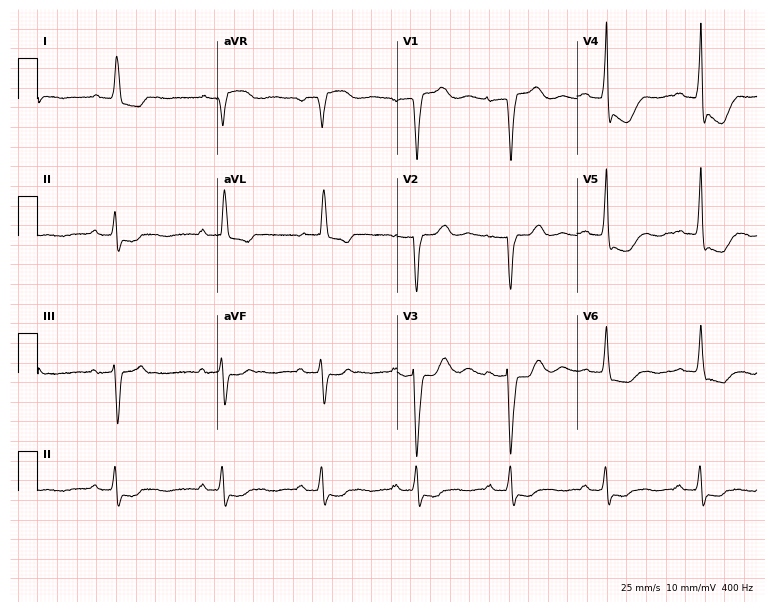
Standard 12-lead ECG recorded from a 79-year-old female patient (7.3-second recording at 400 Hz). None of these six findings is recorded: first-degree AV block, right bundle branch block, left bundle branch block, sinus bradycardia, atrial fibrillation, sinus tachycardia. Only these six findings were labelled.